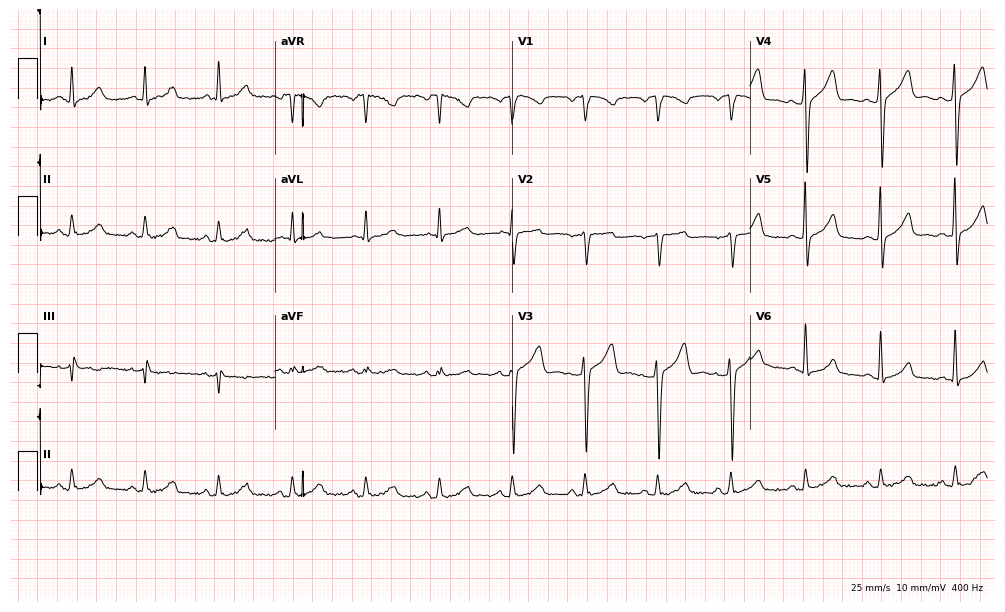
Electrocardiogram, a 36-year-old man. Of the six screened findings (first-degree AV block, right bundle branch block, left bundle branch block, sinus bradycardia, atrial fibrillation, sinus tachycardia), none is recorded. Findings outside these six are not listed.